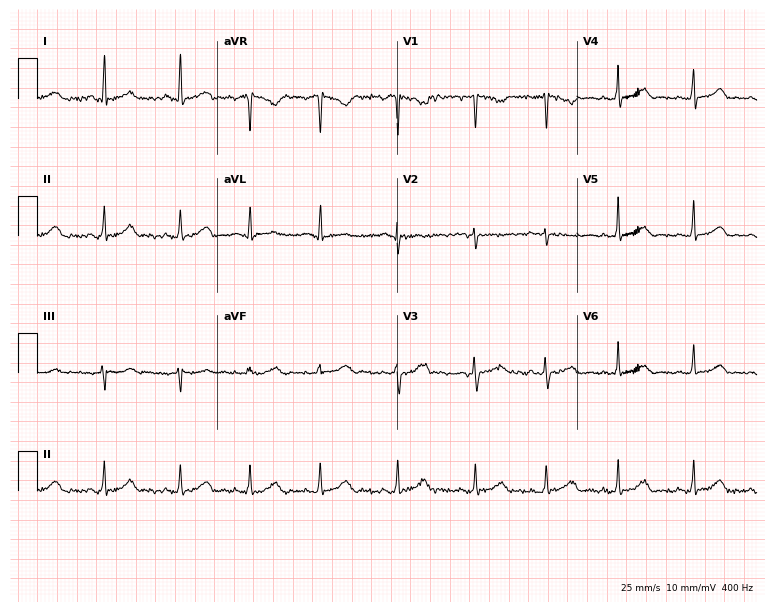
Standard 12-lead ECG recorded from a 43-year-old woman (7.3-second recording at 400 Hz). Read as a normal ECG.